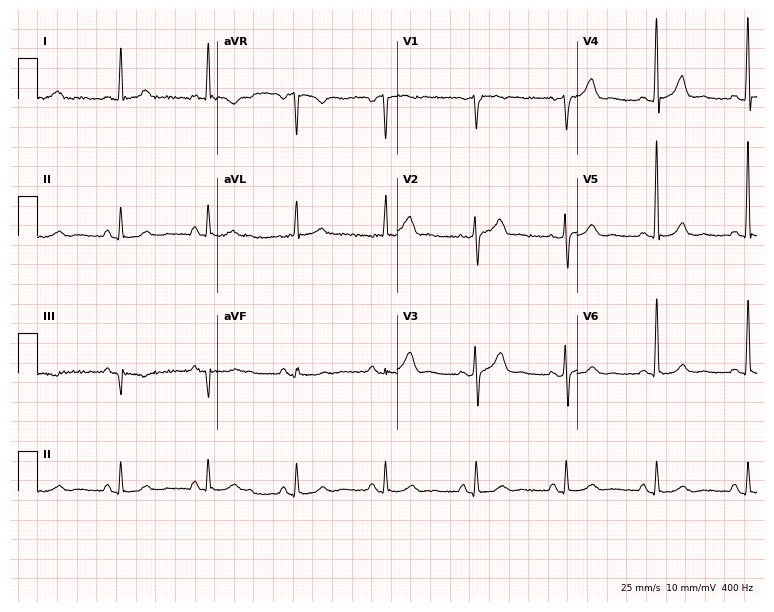
12-lead ECG from a male patient, 65 years old. No first-degree AV block, right bundle branch block, left bundle branch block, sinus bradycardia, atrial fibrillation or sinus tachycardia recorded for this tracing.